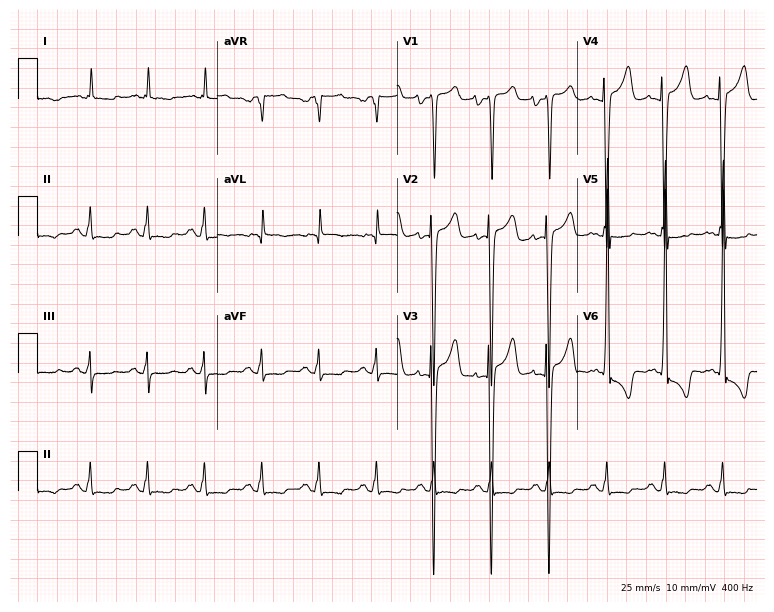
Resting 12-lead electrocardiogram. Patient: a 69-year-old male. The tracing shows sinus tachycardia (a sinus rate of 100 beats per minute or more).